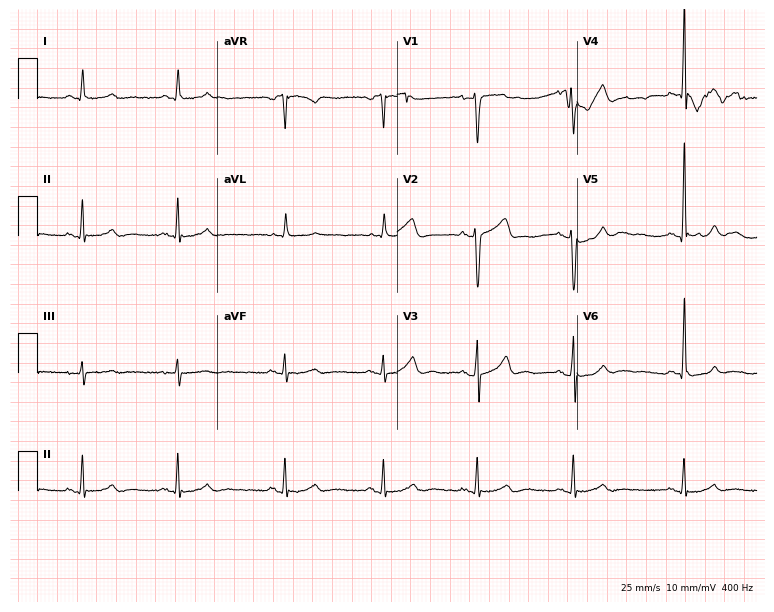
12-lead ECG from a man, 69 years old. Labelled as a normal ECG.